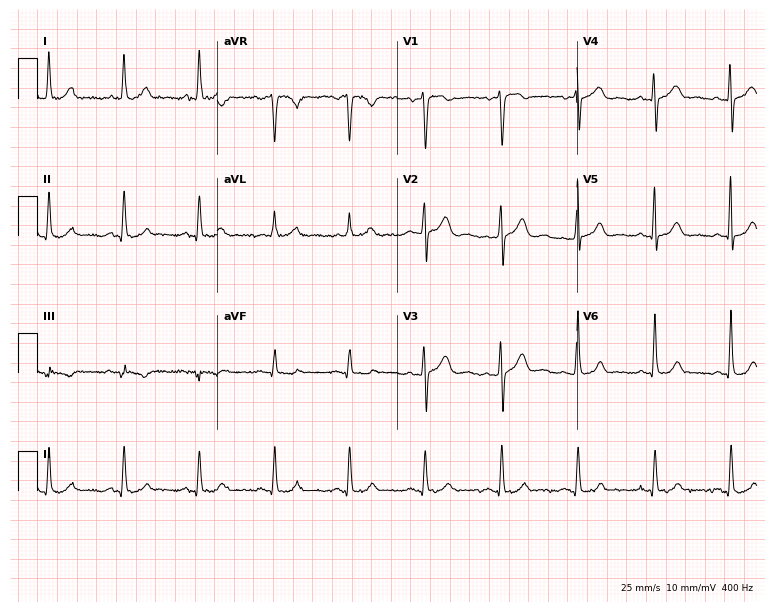
Standard 12-lead ECG recorded from a 70-year-old female. None of these six findings is recorded: first-degree AV block, right bundle branch block, left bundle branch block, sinus bradycardia, atrial fibrillation, sinus tachycardia. Findings outside these six are not listed.